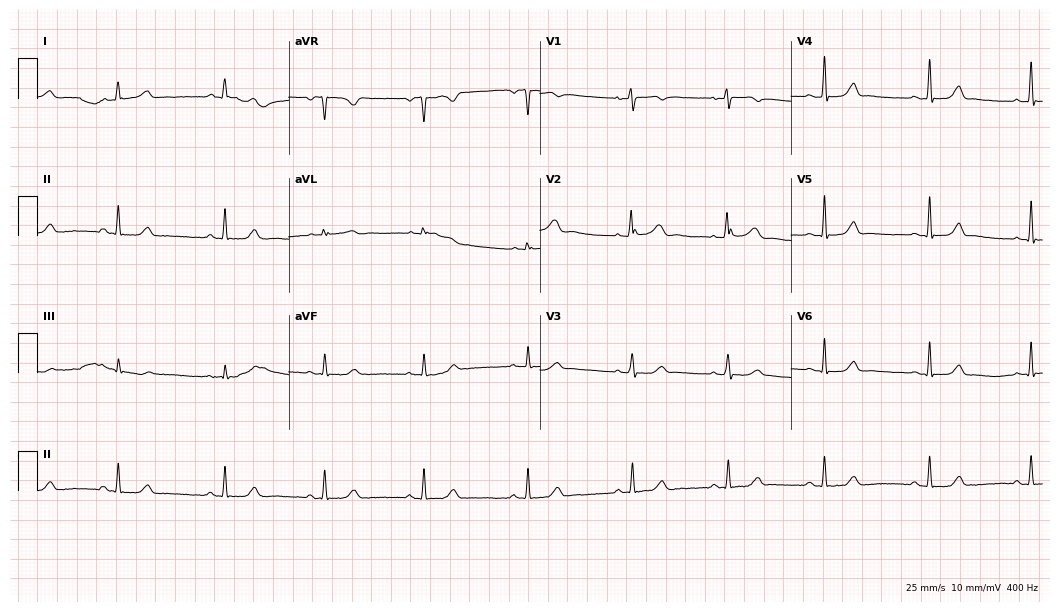
ECG (10.2-second recording at 400 Hz) — a 21-year-old woman. Labelled as a normal ECG.